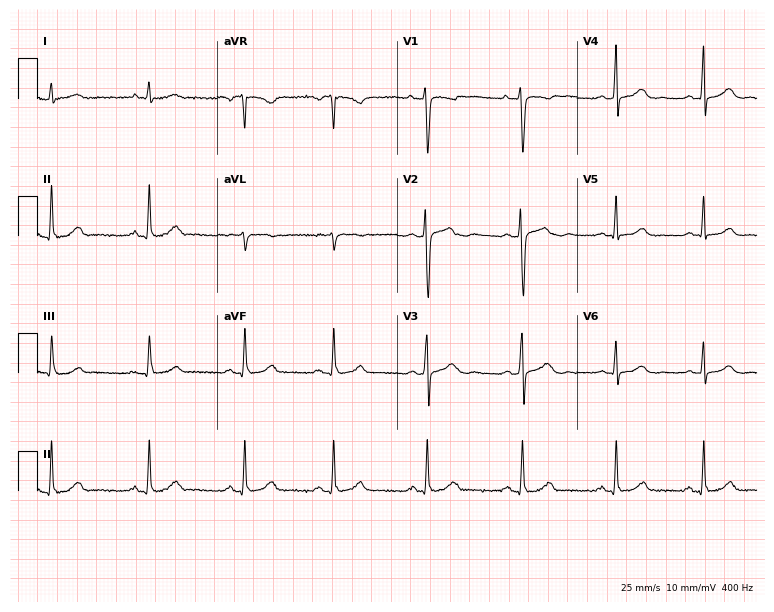
Electrocardiogram (7.3-second recording at 400 Hz), a female, 25 years old. Of the six screened findings (first-degree AV block, right bundle branch block, left bundle branch block, sinus bradycardia, atrial fibrillation, sinus tachycardia), none is recorded.